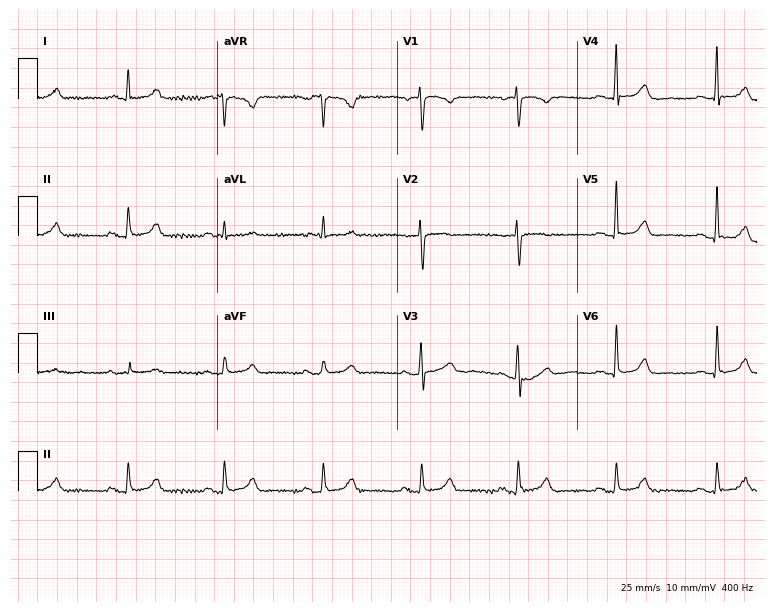
Resting 12-lead electrocardiogram. Patient: a 65-year-old female. Read as a normal ECG.